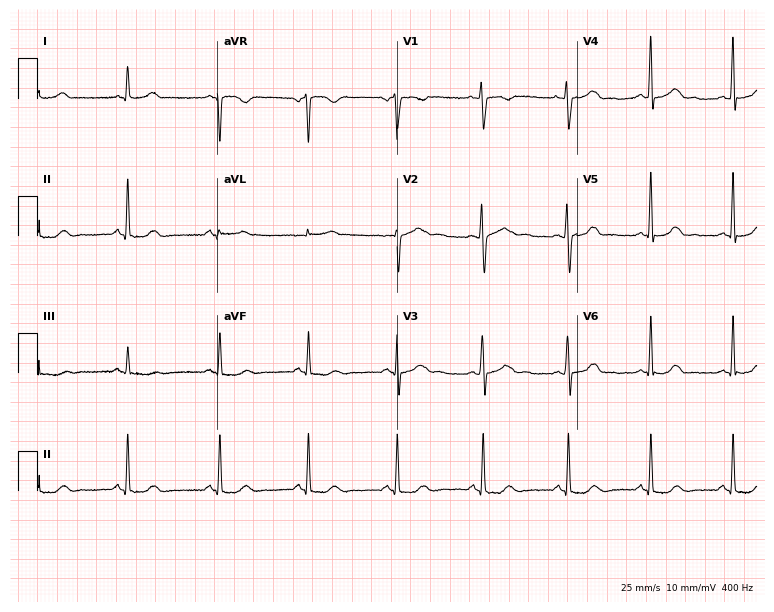
Standard 12-lead ECG recorded from a male patient, 29 years old (7.3-second recording at 400 Hz). Read as a normal ECG.